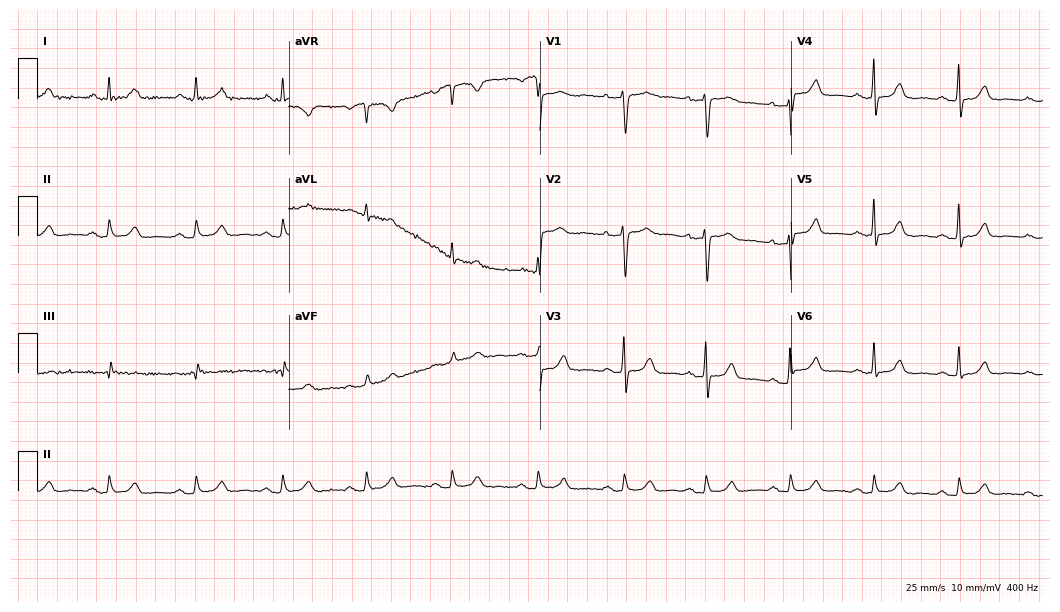
12-lead ECG from a 65-year-old woman. Labelled as a normal ECG.